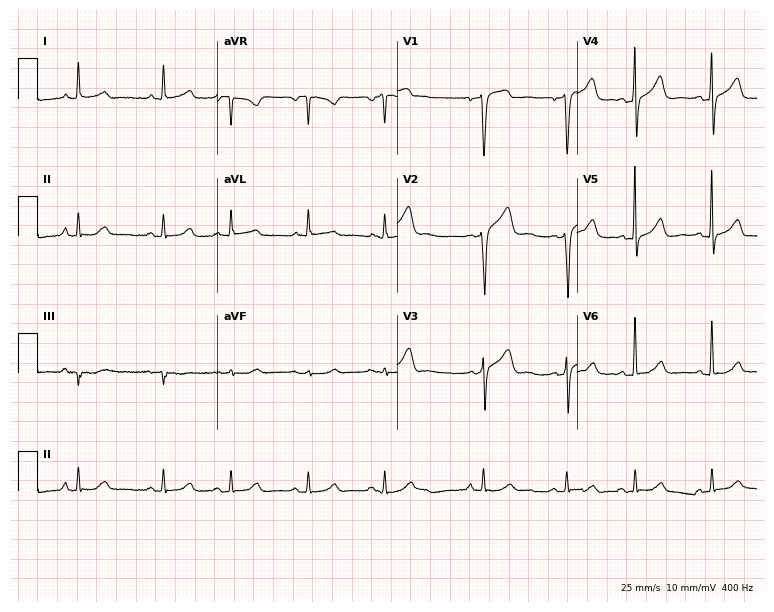
Standard 12-lead ECG recorded from a female patient, 84 years old (7.3-second recording at 400 Hz). None of these six findings is recorded: first-degree AV block, right bundle branch block (RBBB), left bundle branch block (LBBB), sinus bradycardia, atrial fibrillation (AF), sinus tachycardia.